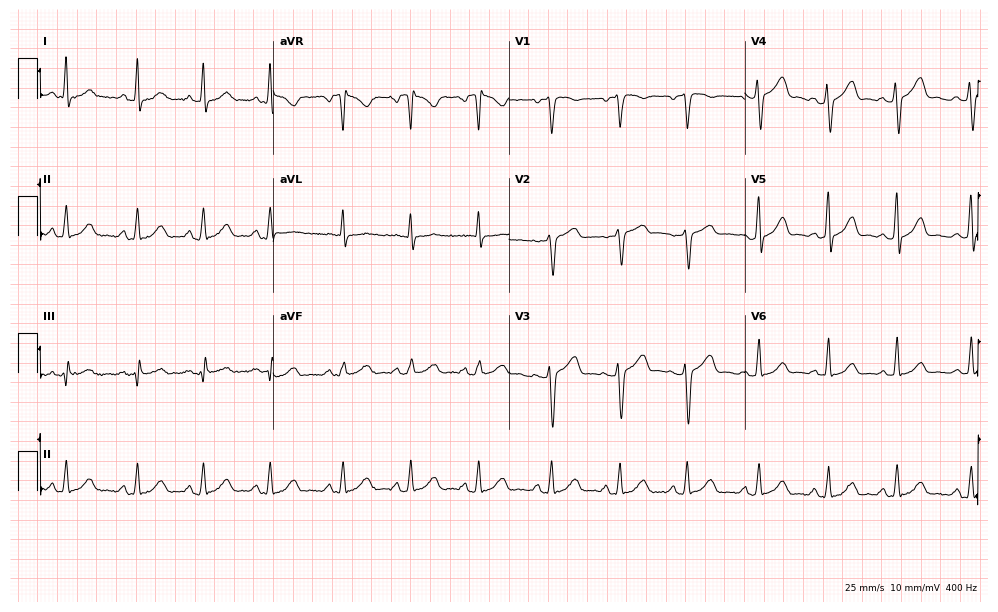
12-lead ECG from a female, 38 years old. Recorded interpretation: within normal limits.